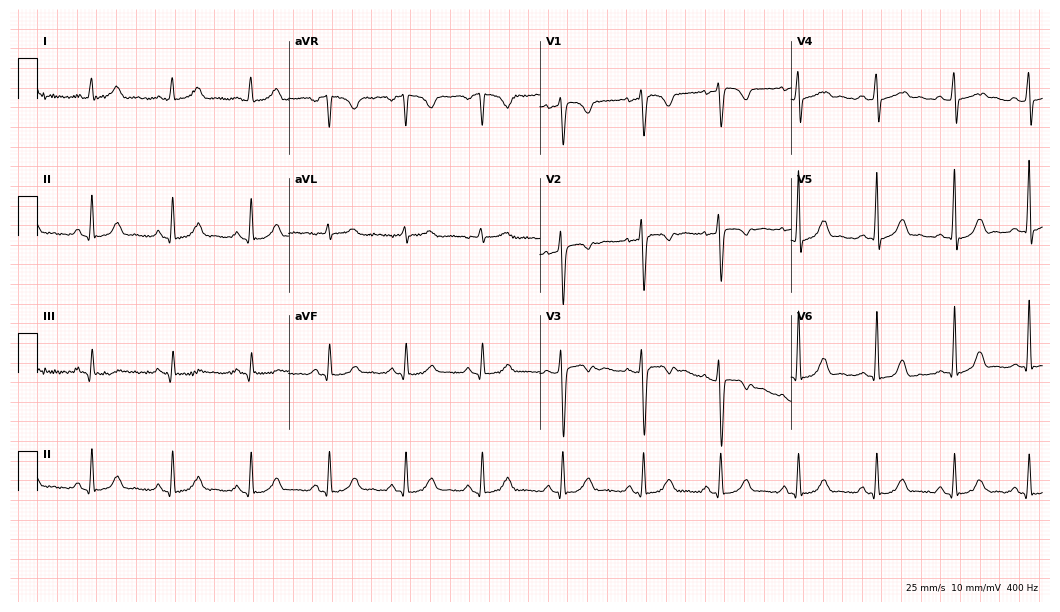
Resting 12-lead electrocardiogram (10.2-second recording at 400 Hz). Patient: a female, 31 years old. None of these six findings is recorded: first-degree AV block, right bundle branch block (RBBB), left bundle branch block (LBBB), sinus bradycardia, atrial fibrillation (AF), sinus tachycardia.